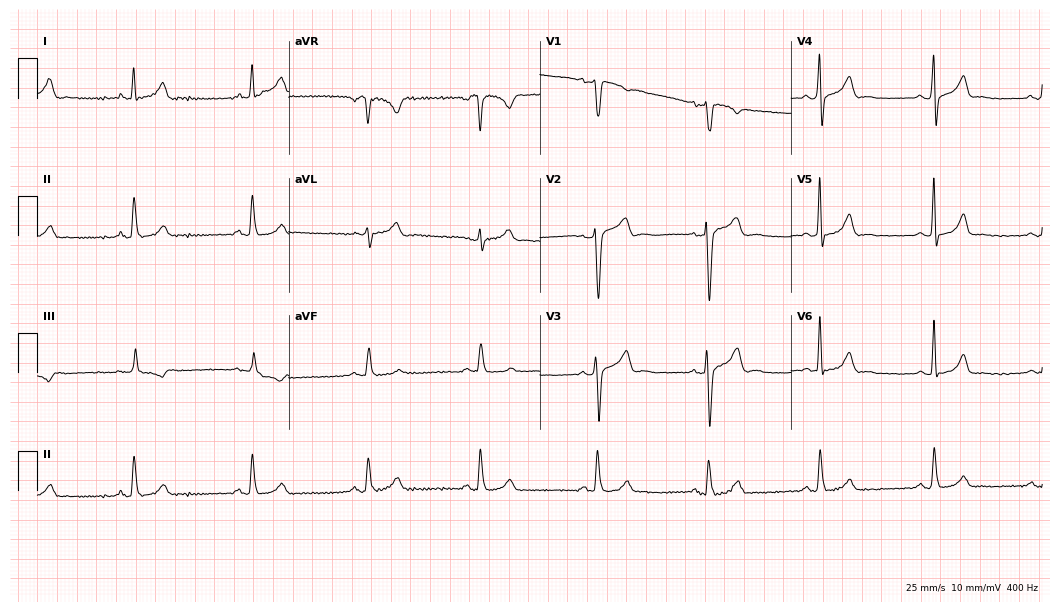
Standard 12-lead ECG recorded from a male patient, 44 years old (10.2-second recording at 400 Hz). Read as a normal ECG.